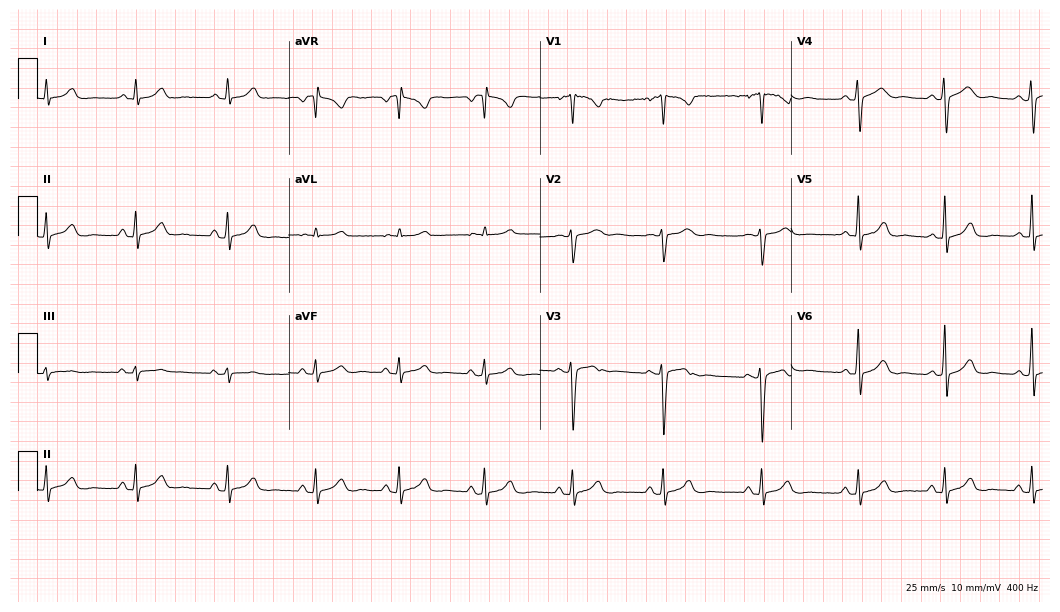
Standard 12-lead ECG recorded from a female, 28 years old (10.2-second recording at 400 Hz). None of these six findings is recorded: first-degree AV block, right bundle branch block, left bundle branch block, sinus bradycardia, atrial fibrillation, sinus tachycardia. Only these six findings were labelled.